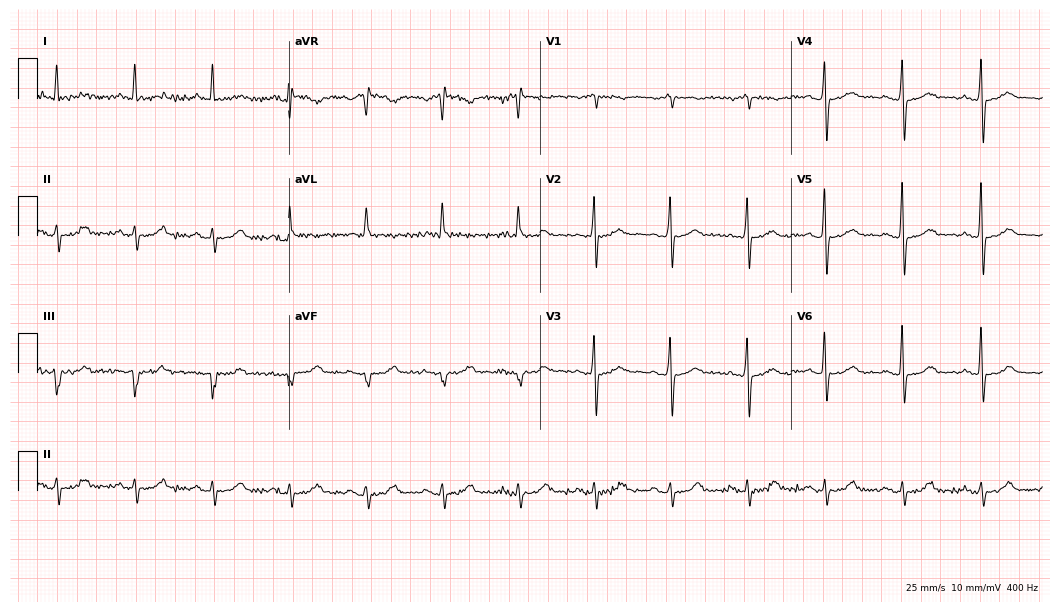
12-lead ECG from a 71-year-old female patient. Screened for six findings — first-degree AV block, right bundle branch block, left bundle branch block, sinus bradycardia, atrial fibrillation, sinus tachycardia — none is recorded. Only these six findings were labelled.